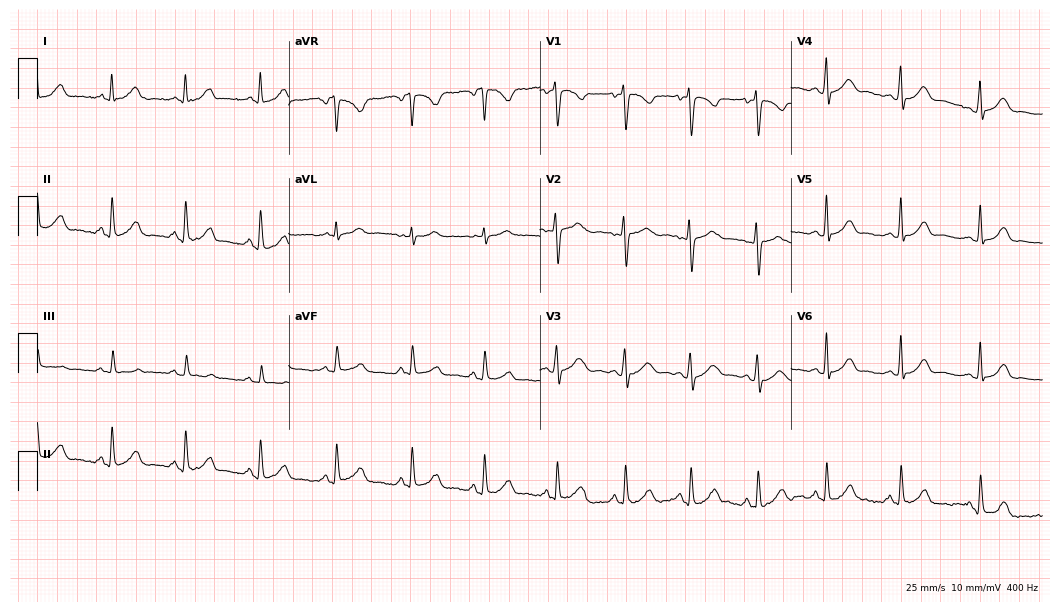
Standard 12-lead ECG recorded from a 27-year-old woman. None of these six findings is recorded: first-degree AV block, right bundle branch block (RBBB), left bundle branch block (LBBB), sinus bradycardia, atrial fibrillation (AF), sinus tachycardia. Only these six findings were labelled.